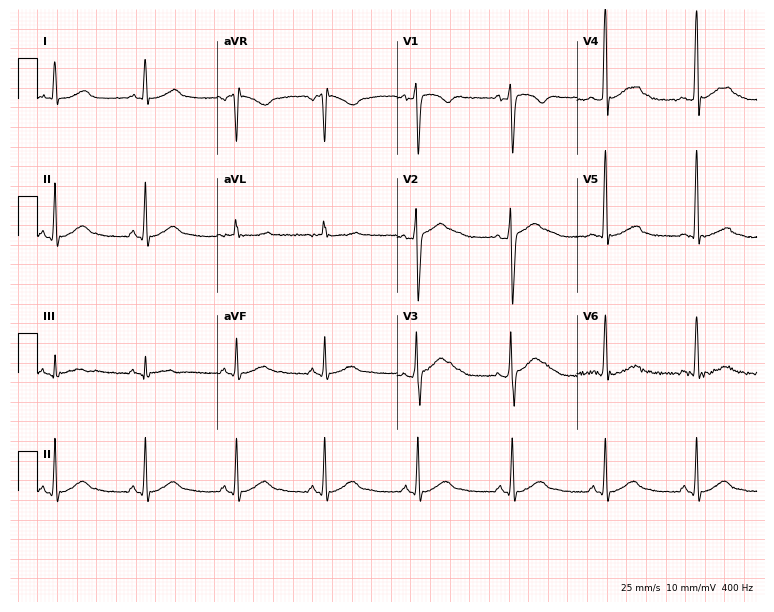
12-lead ECG from a man, 28 years old (7.3-second recording at 400 Hz). Recorded interpretation: within normal limits.